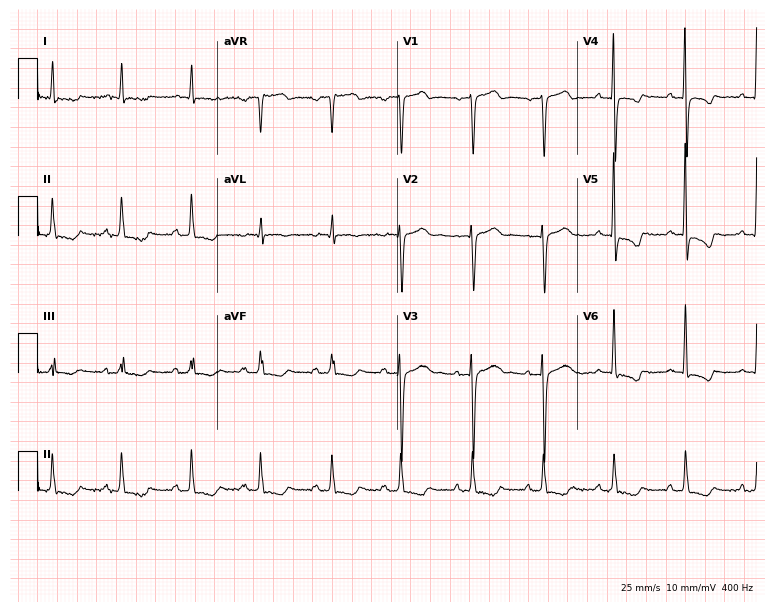
Resting 12-lead electrocardiogram. Patient: an 83-year-old man. None of these six findings is recorded: first-degree AV block, right bundle branch block, left bundle branch block, sinus bradycardia, atrial fibrillation, sinus tachycardia.